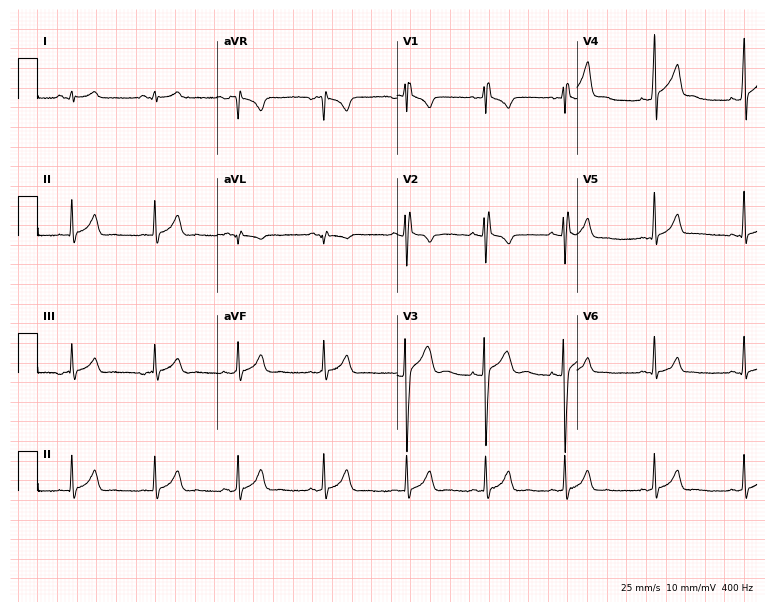
Standard 12-lead ECG recorded from a 20-year-old male patient (7.3-second recording at 400 Hz). None of these six findings is recorded: first-degree AV block, right bundle branch block (RBBB), left bundle branch block (LBBB), sinus bradycardia, atrial fibrillation (AF), sinus tachycardia. Only these six findings were labelled.